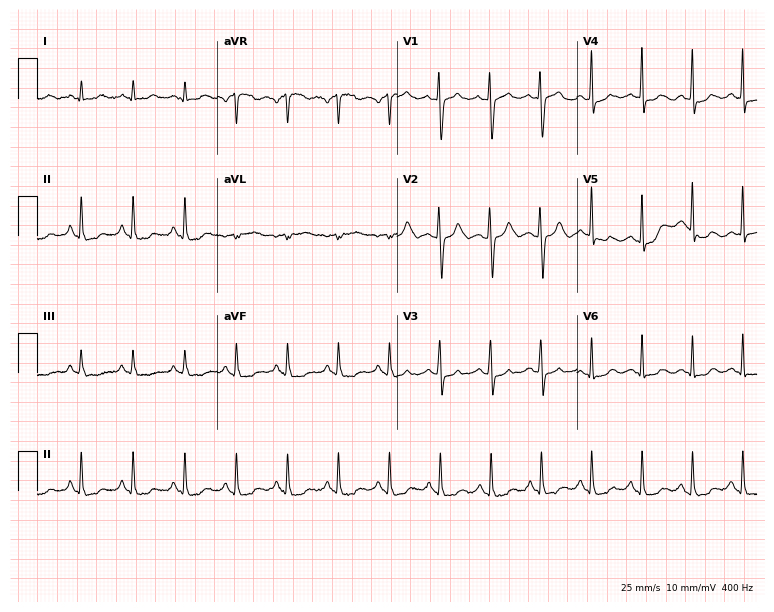
Electrocardiogram, a female, 40 years old. Interpretation includes sinus tachycardia (a sinus rate of 100 beats per minute or more).